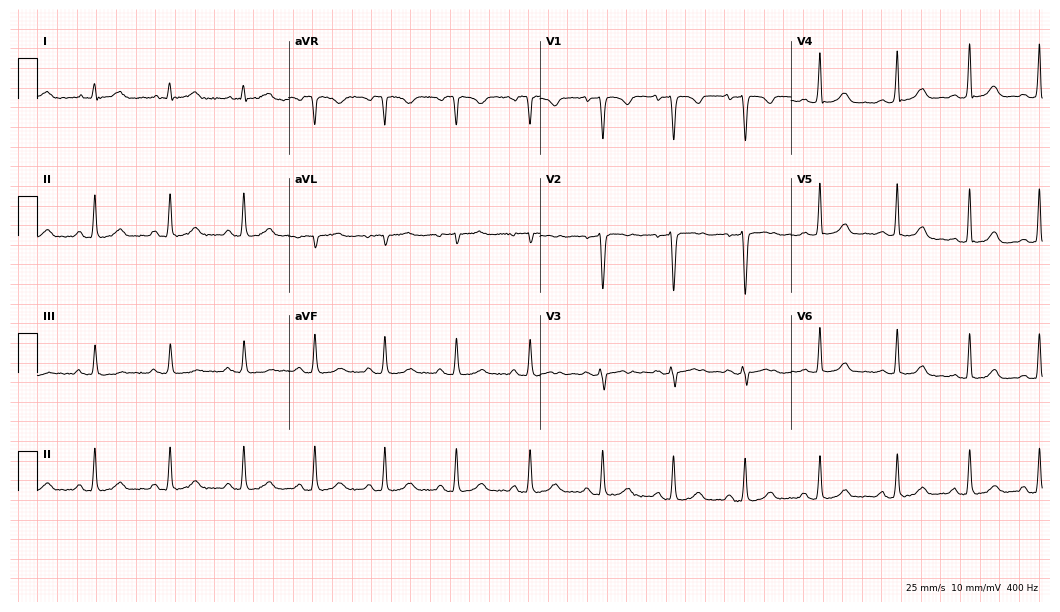
Standard 12-lead ECG recorded from a 35-year-old female patient. Read as a normal ECG.